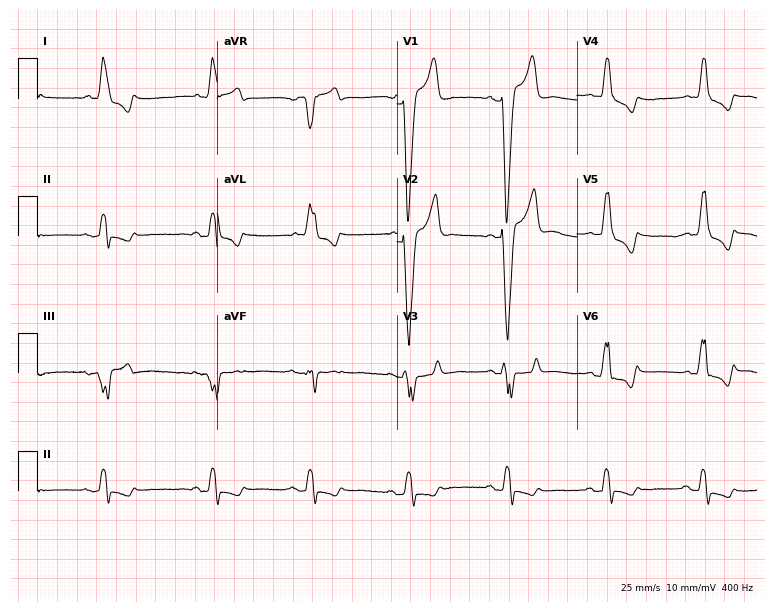
Electrocardiogram, an 80-year-old female patient. Interpretation includes left bundle branch block.